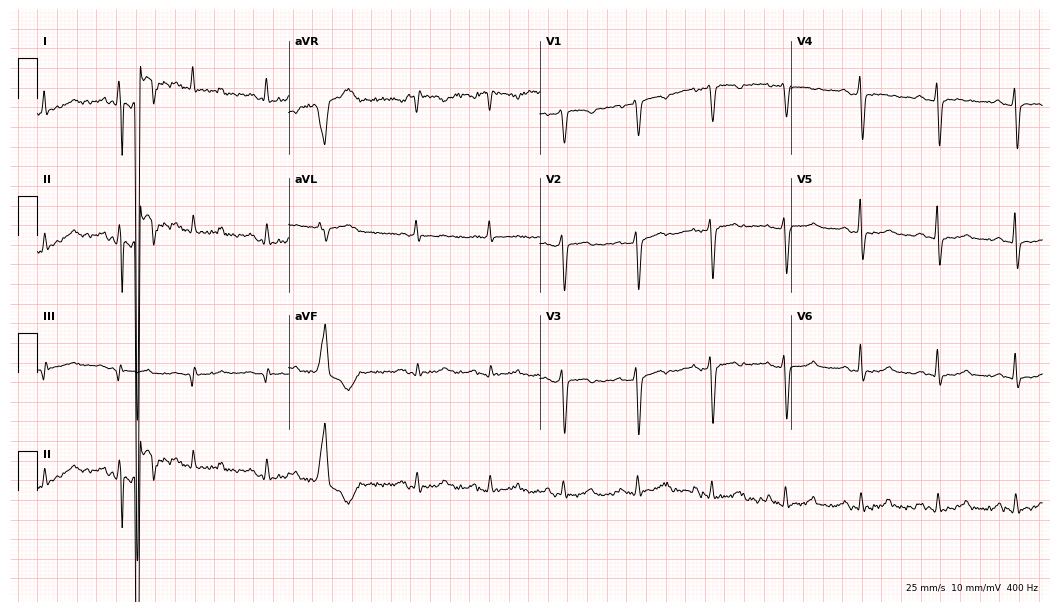
Resting 12-lead electrocardiogram (10.2-second recording at 400 Hz). Patient: a 63-year-old woman. None of these six findings is recorded: first-degree AV block, right bundle branch block, left bundle branch block, sinus bradycardia, atrial fibrillation, sinus tachycardia. Other findings, if any, are not listed.